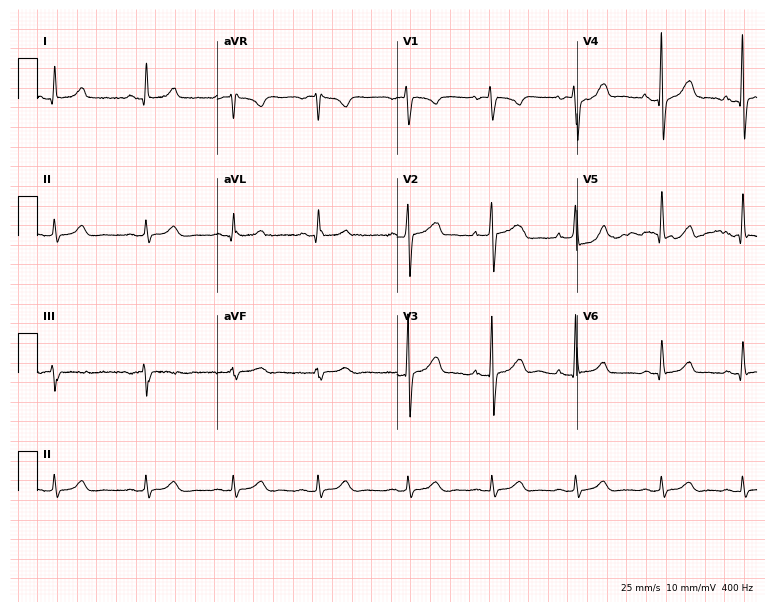
12-lead ECG from a male, 35 years old. Recorded interpretation: within normal limits.